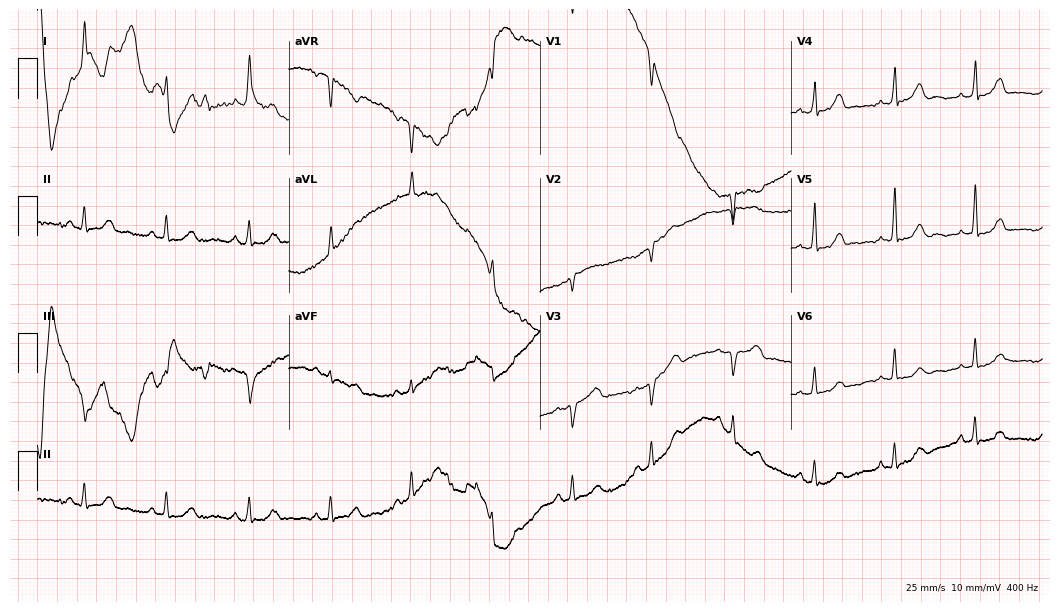
12-lead ECG from a 65-year-old female. Screened for six findings — first-degree AV block, right bundle branch block, left bundle branch block, sinus bradycardia, atrial fibrillation, sinus tachycardia — none is recorded. Only these six findings were labelled.